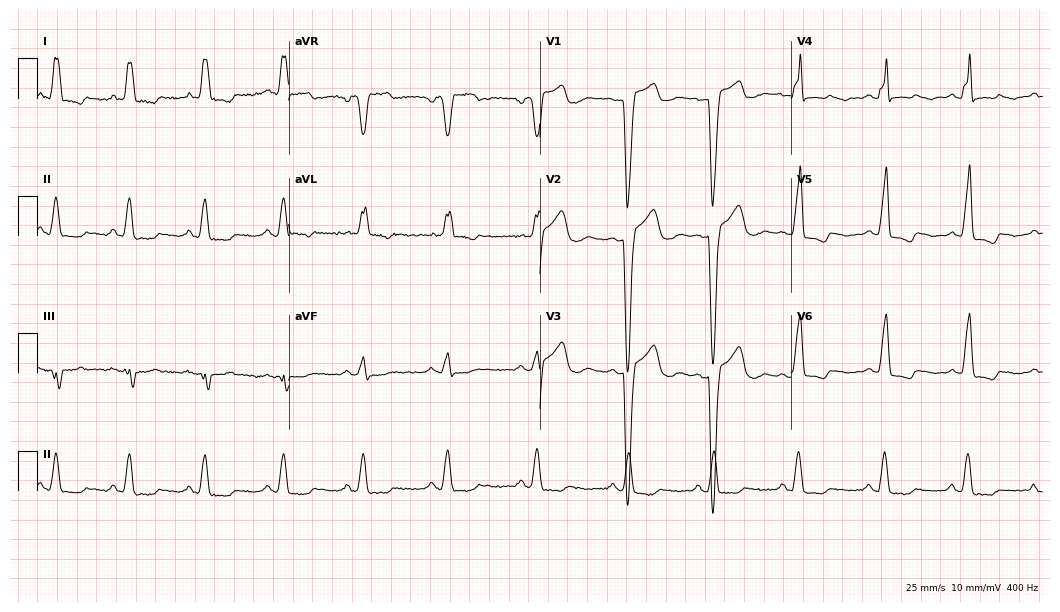
12-lead ECG from a 64-year-old female (10.2-second recording at 400 Hz). Shows left bundle branch block.